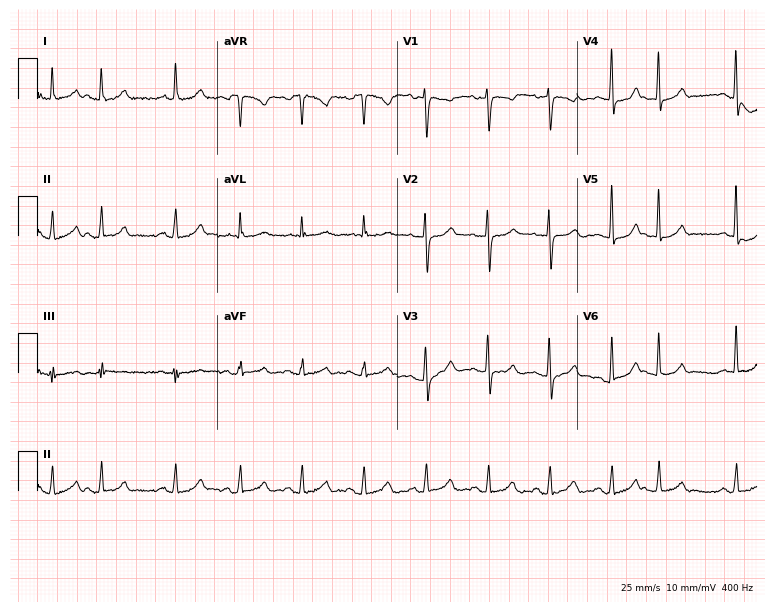
Electrocardiogram (7.3-second recording at 400 Hz), a female patient, 50 years old. Of the six screened findings (first-degree AV block, right bundle branch block, left bundle branch block, sinus bradycardia, atrial fibrillation, sinus tachycardia), none is recorded. Only these six findings were labelled.